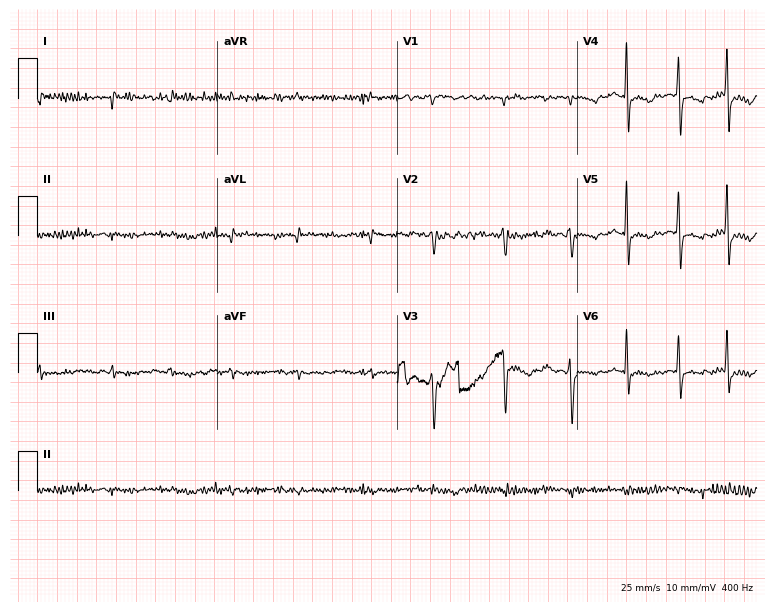
ECG (7.3-second recording at 400 Hz) — a female patient, 81 years old. Screened for six findings — first-degree AV block, right bundle branch block (RBBB), left bundle branch block (LBBB), sinus bradycardia, atrial fibrillation (AF), sinus tachycardia — none is recorded. Only these six findings were labelled.